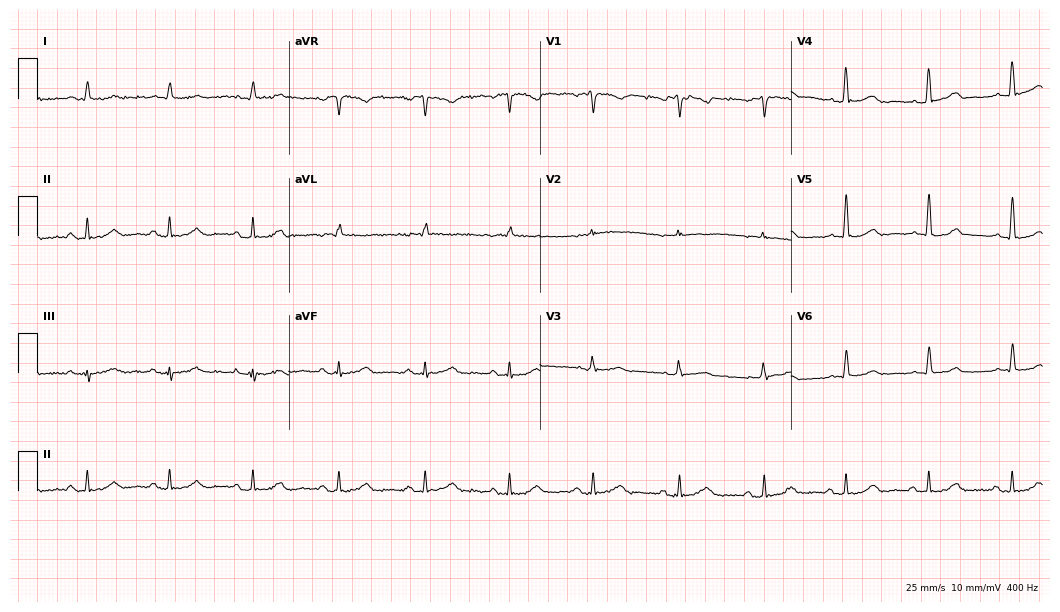
Resting 12-lead electrocardiogram (10.2-second recording at 400 Hz). Patient: a male, 70 years old. Read as a normal ECG.